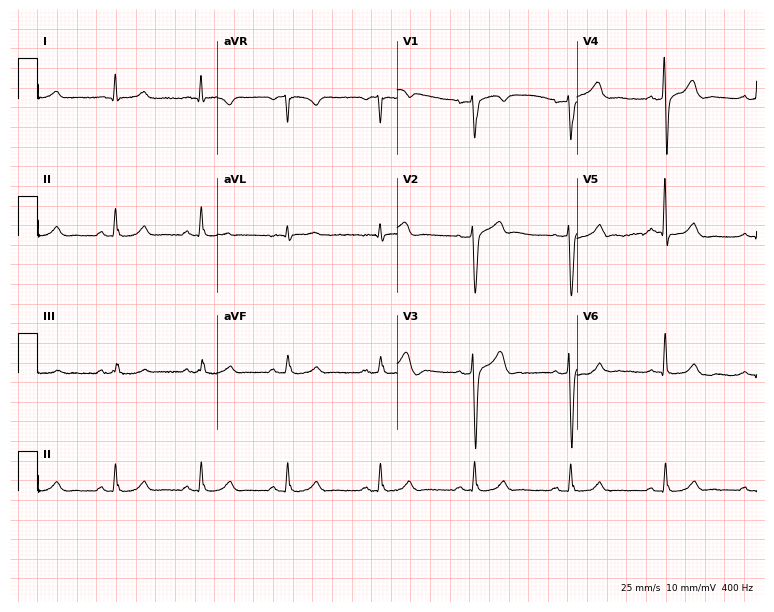
ECG (7.3-second recording at 400 Hz) — a 59-year-old male. Labelled as a normal ECG.